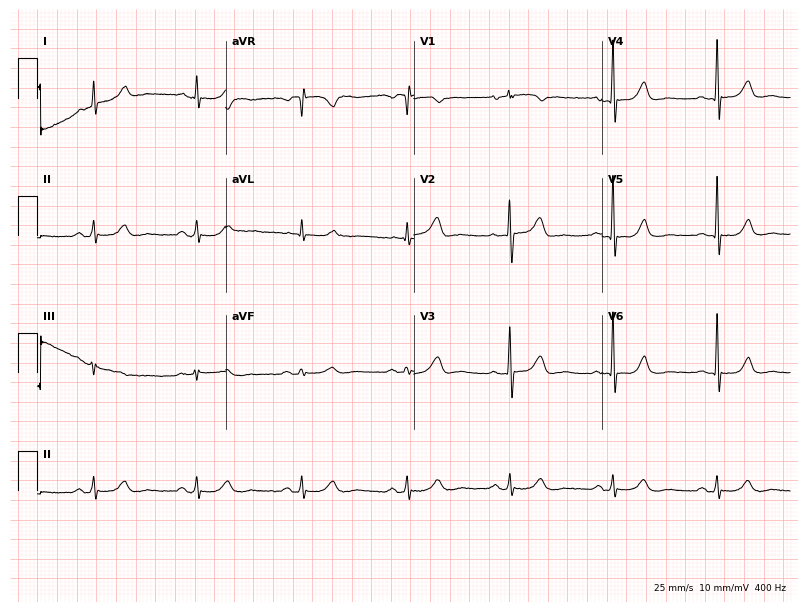
Electrocardiogram (7.7-second recording at 400 Hz), an 81-year-old female. Of the six screened findings (first-degree AV block, right bundle branch block (RBBB), left bundle branch block (LBBB), sinus bradycardia, atrial fibrillation (AF), sinus tachycardia), none is recorded. Only these six findings were labelled.